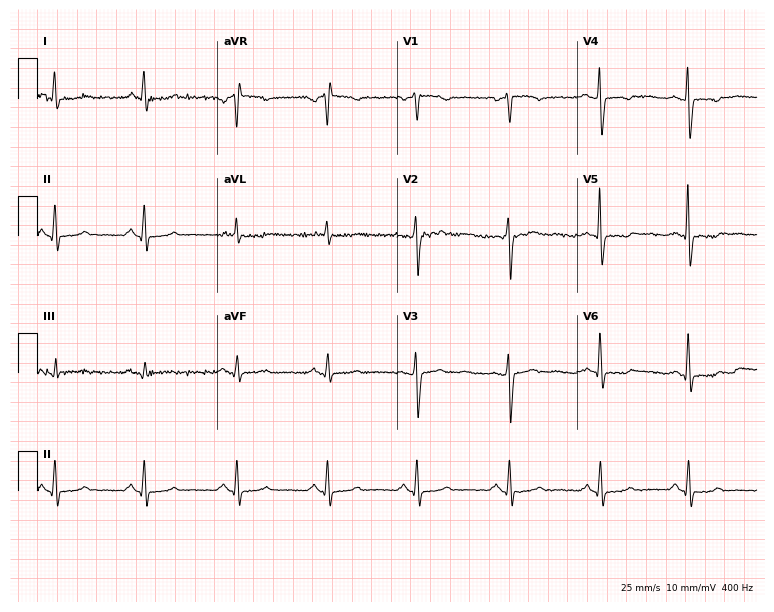
12-lead ECG (7.3-second recording at 400 Hz) from a 52-year-old woman. Screened for six findings — first-degree AV block, right bundle branch block (RBBB), left bundle branch block (LBBB), sinus bradycardia, atrial fibrillation (AF), sinus tachycardia — none is recorded.